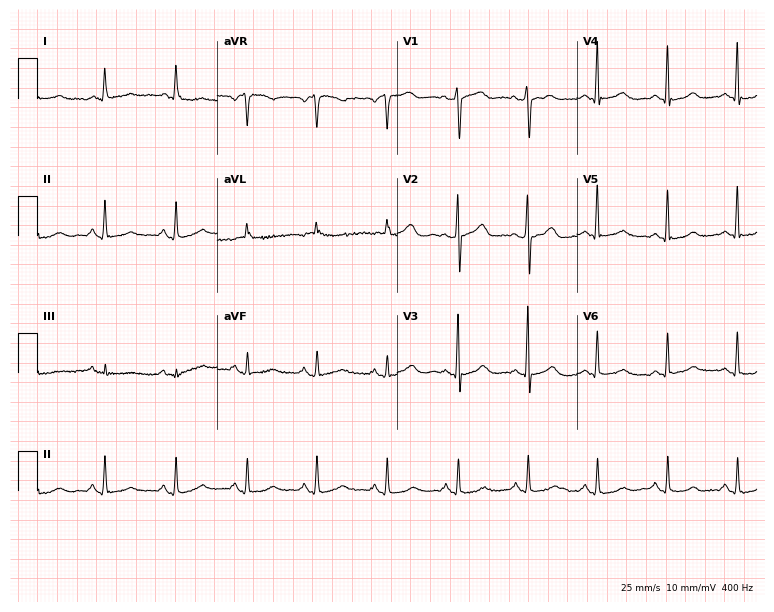
12-lead ECG from a 57-year-old female (7.3-second recording at 400 Hz). No first-degree AV block, right bundle branch block, left bundle branch block, sinus bradycardia, atrial fibrillation or sinus tachycardia recorded for this tracing. Other findings, if any, are not listed.